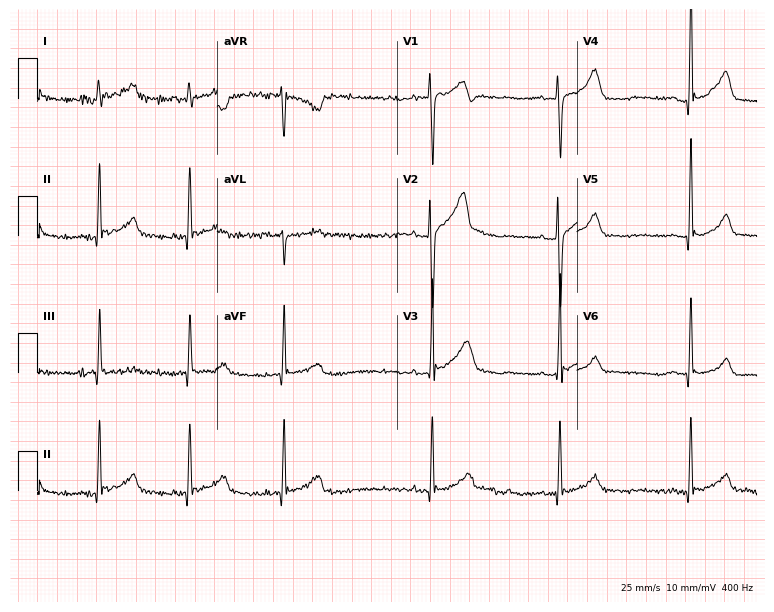
12-lead ECG from a 28-year-old male. Recorded interpretation: within normal limits.